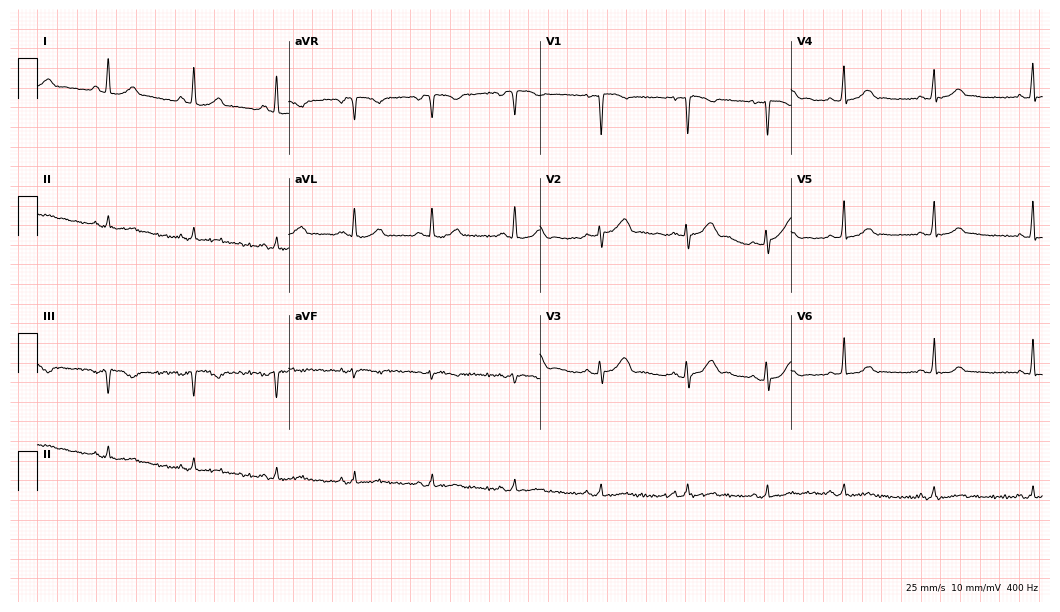
12-lead ECG from a 28-year-old woman (10.2-second recording at 400 Hz). Recorded interpretation: within normal limits.